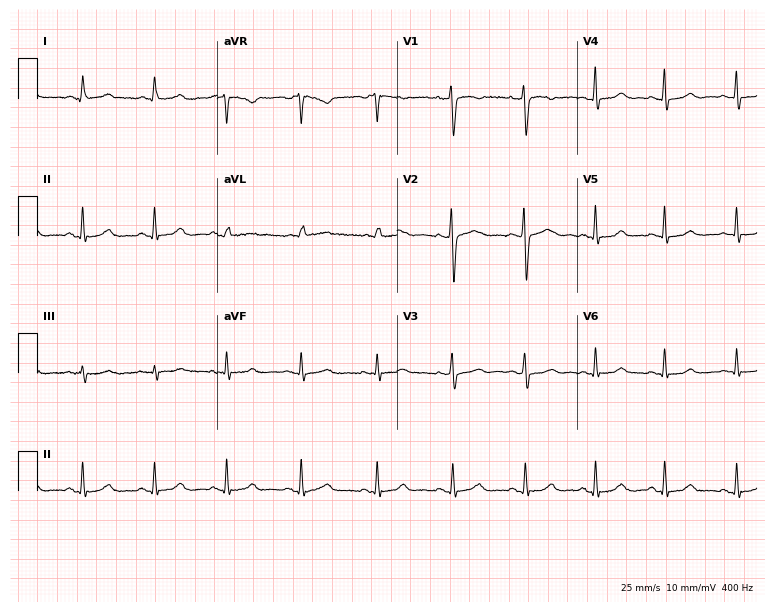
Resting 12-lead electrocardiogram. Patient: a 23-year-old woman. Read as a normal ECG.